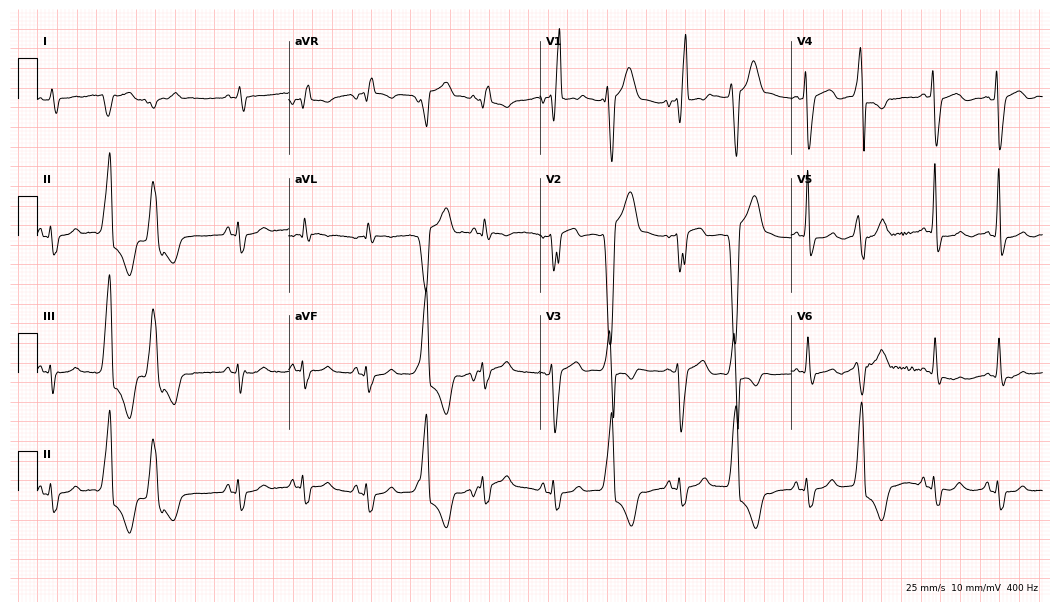
Electrocardiogram (10.2-second recording at 400 Hz), an 82-year-old male. Interpretation includes right bundle branch block (RBBB).